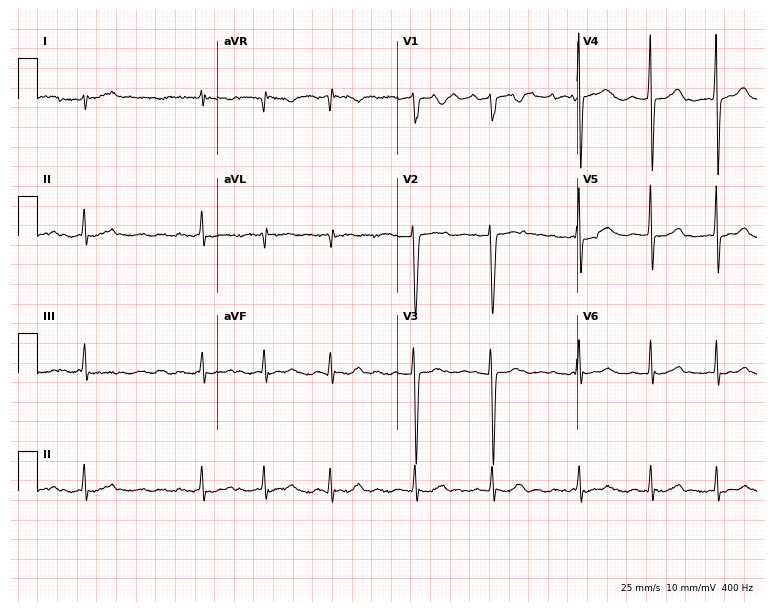
12-lead ECG from a female patient, 51 years old. No first-degree AV block, right bundle branch block (RBBB), left bundle branch block (LBBB), sinus bradycardia, atrial fibrillation (AF) or sinus tachycardia recorded for this tracing. Other findings, if any, are not listed.